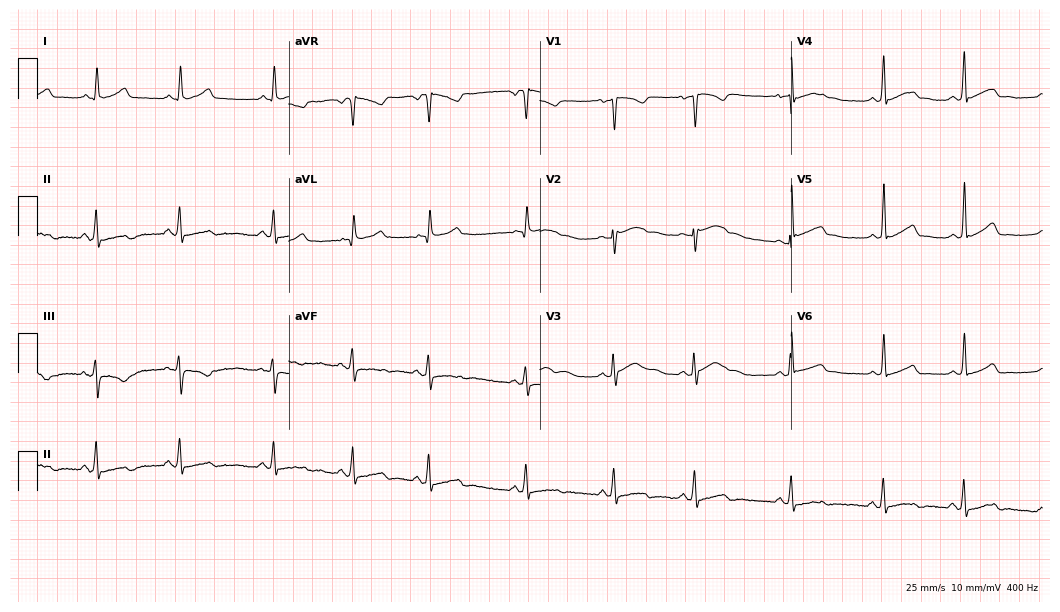
12-lead ECG (10.2-second recording at 400 Hz) from a 21-year-old woman. Screened for six findings — first-degree AV block, right bundle branch block (RBBB), left bundle branch block (LBBB), sinus bradycardia, atrial fibrillation (AF), sinus tachycardia — none is recorded.